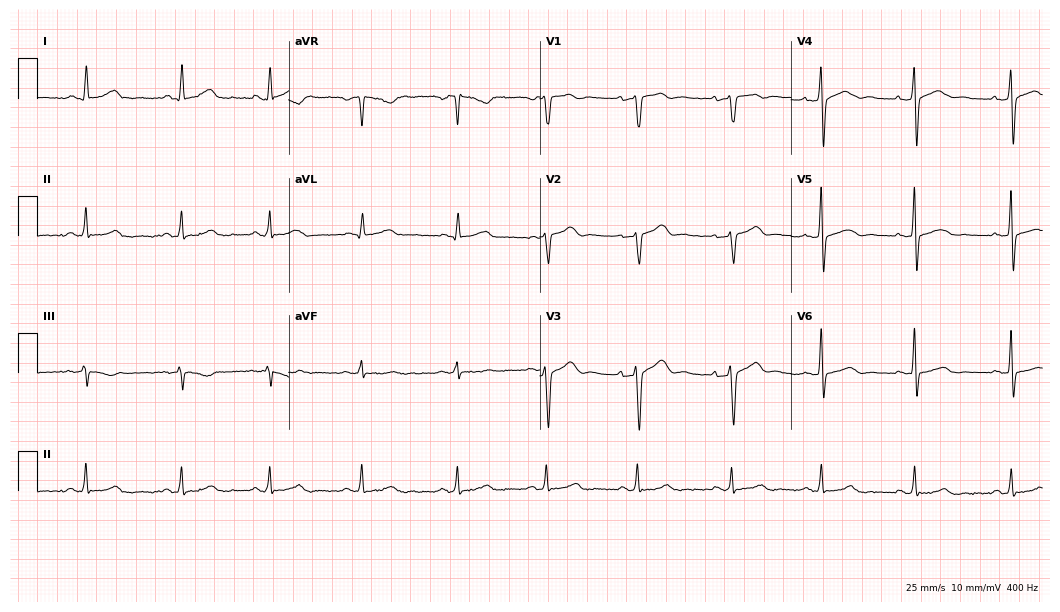
ECG — a 30-year-old female. Labelled as a normal ECG.